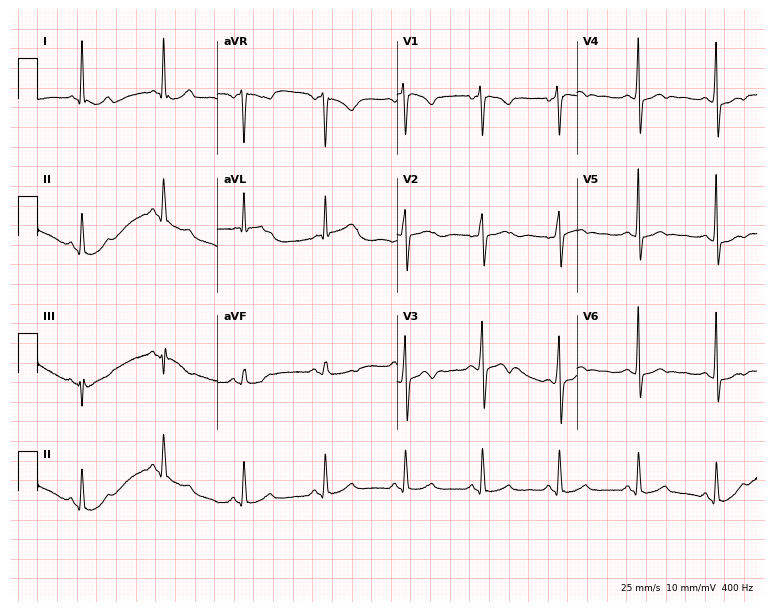
12-lead ECG (7.3-second recording at 400 Hz) from a 30-year-old female. Screened for six findings — first-degree AV block, right bundle branch block (RBBB), left bundle branch block (LBBB), sinus bradycardia, atrial fibrillation (AF), sinus tachycardia — none is recorded.